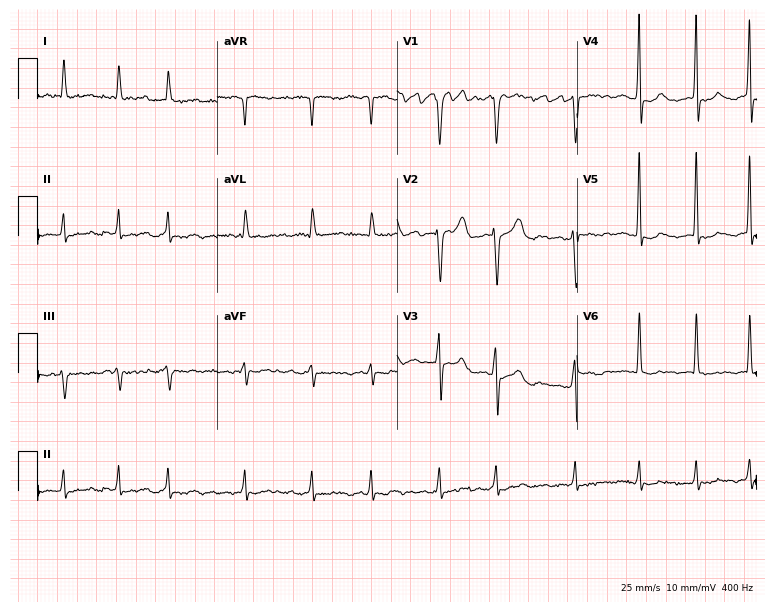
Electrocardiogram, a 74-year-old woman. Interpretation includes atrial fibrillation (AF).